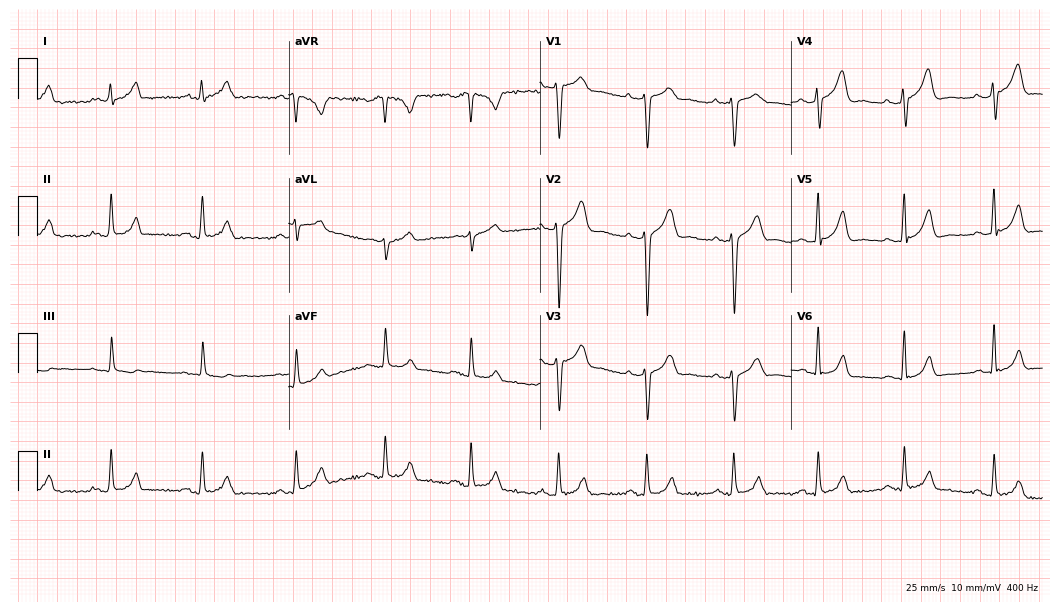
12-lead ECG from a 26-year-old man. Recorded interpretation: within normal limits.